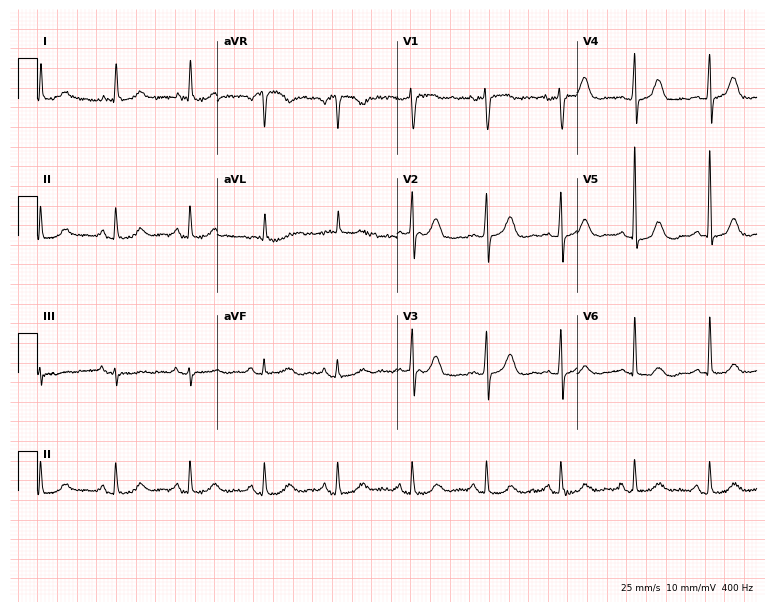
ECG — a female patient, 79 years old. Screened for six findings — first-degree AV block, right bundle branch block, left bundle branch block, sinus bradycardia, atrial fibrillation, sinus tachycardia — none is recorded.